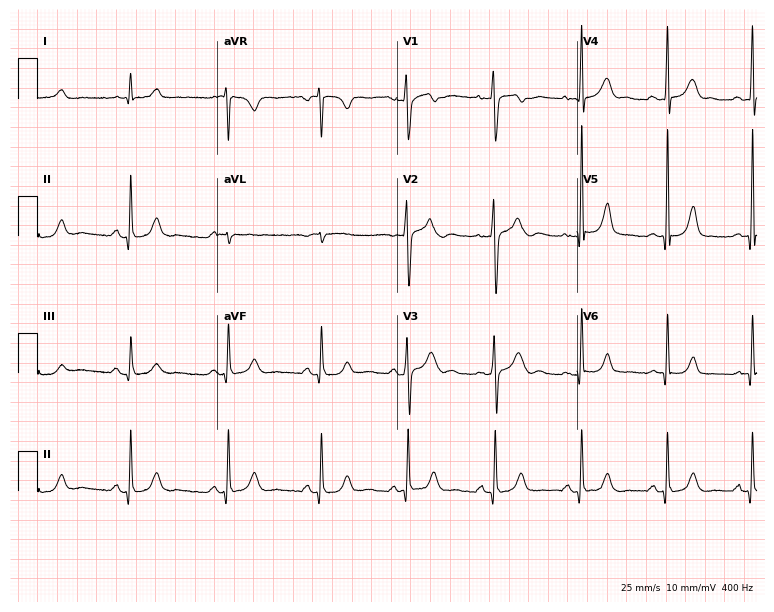
Electrocardiogram (7.3-second recording at 400 Hz), a 31-year-old male patient. Overall reading on record: normal ECG.